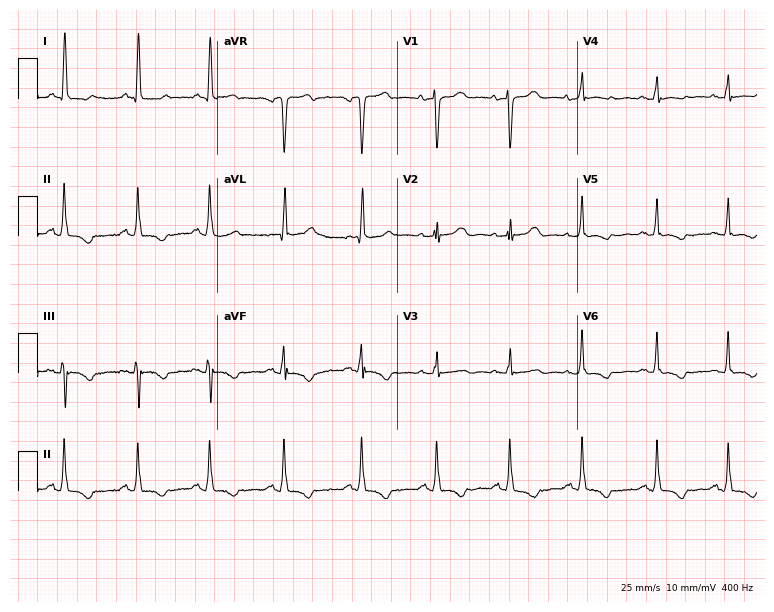
Resting 12-lead electrocardiogram. Patient: a 50-year-old woman. None of these six findings is recorded: first-degree AV block, right bundle branch block, left bundle branch block, sinus bradycardia, atrial fibrillation, sinus tachycardia.